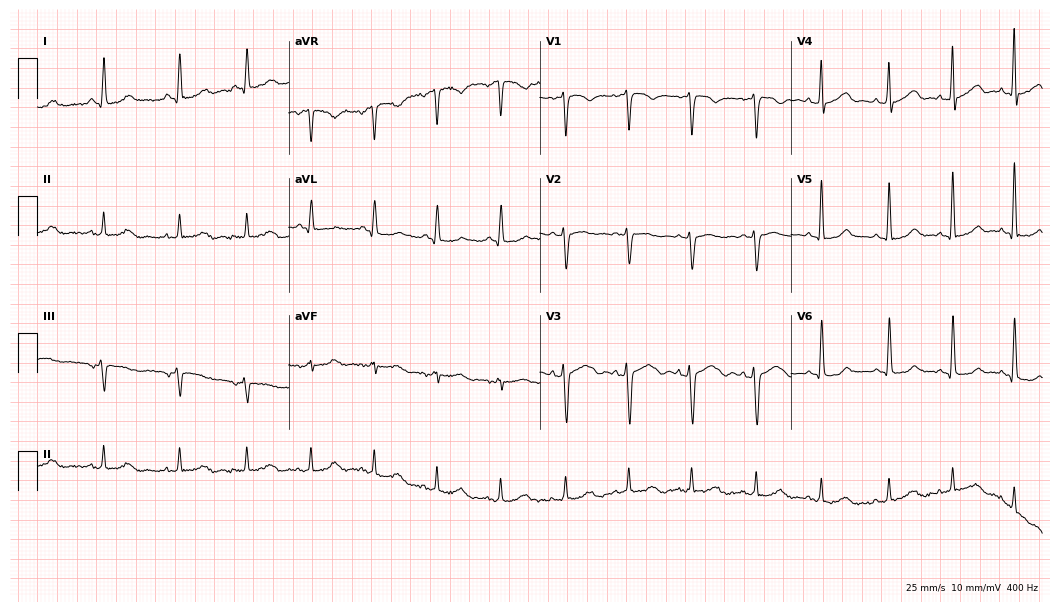
Standard 12-lead ECG recorded from a 37-year-old woman. None of these six findings is recorded: first-degree AV block, right bundle branch block (RBBB), left bundle branch block (LBBB), sinus bradycardia, atrial fibrillation (AF), sinus tachycardia. Only these six findings were labelled.